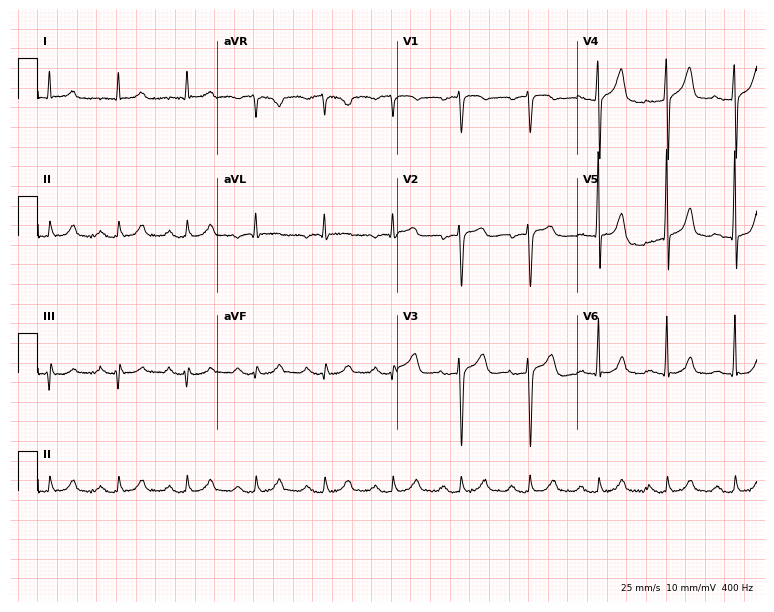
Resting 12-lead electrocardiogram (7.3-second recording at 400 Hz). Patient: a 76-year-old man. The tracing shows first-degree AV block.